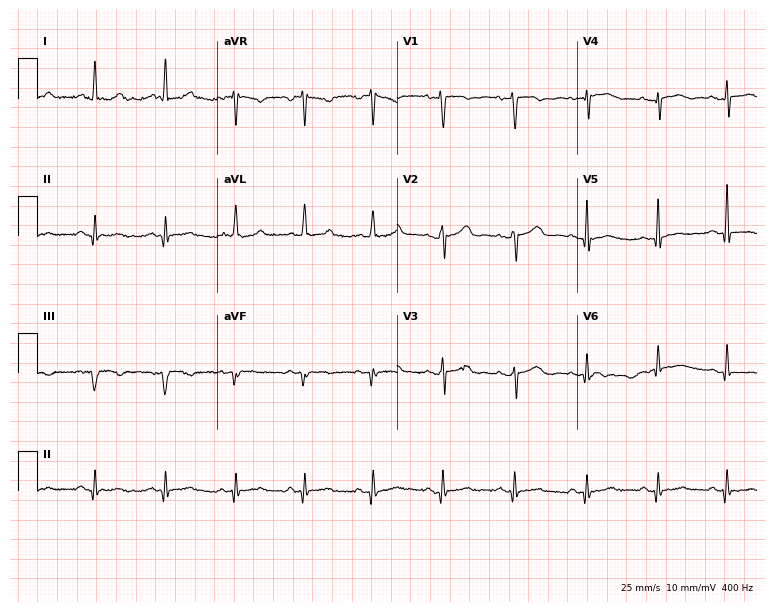
Resting 12-lead electrocardiogram. Patient: a 44-year-old woman. Read as a normal ECG.